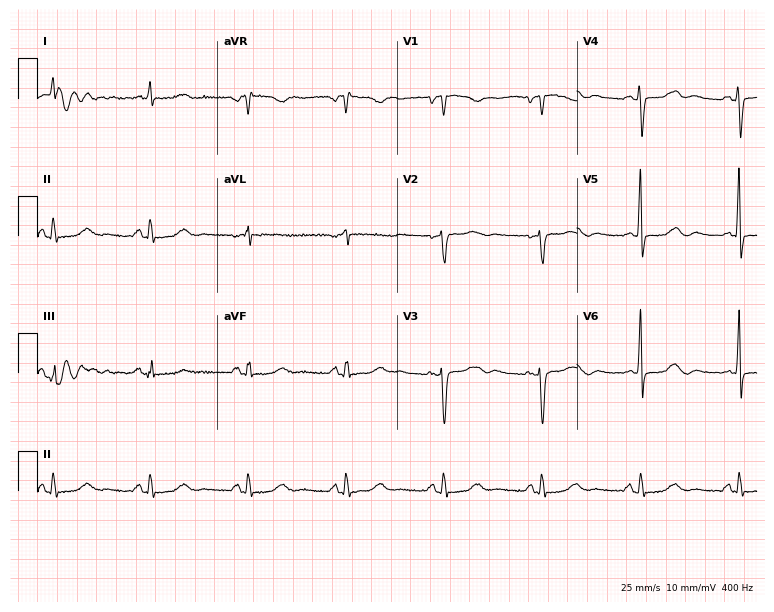
ECG (7.3-second recording at 400 Hz) — an 80-year-old female patient. Screened for six findings — first-degree AV block, right bundle branch block (RBBB), left bundle branch block (LBBB), sinus bradycardia, atrial fibrillation (AF), sinus tachycardia — none is recorded.